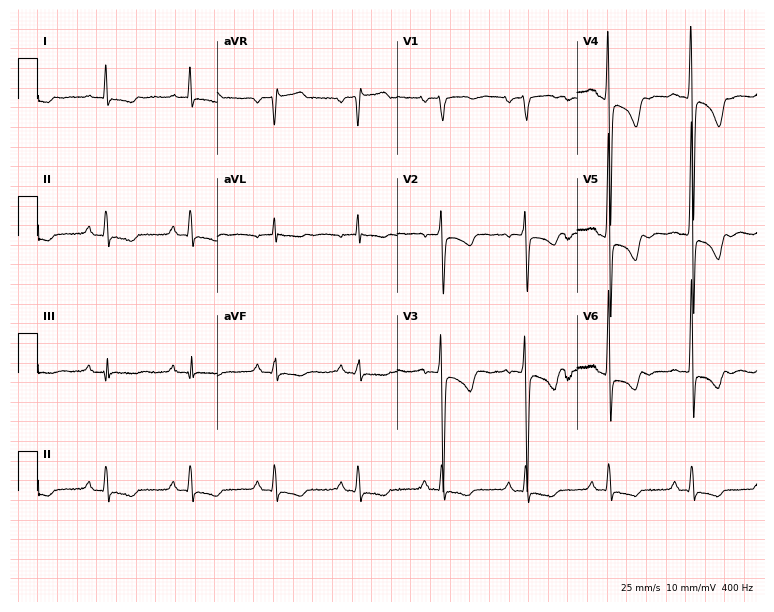
Resting 12-lead electrocardiogram (7.3-second recording at 400 Hz). Patient: a male, 75 years old. None of these six findings is recorded: first-degree AV block, right bundle branch block, left bundle branch block, sinus bradycardia, atrial fibrillation, sinus tachycardia.